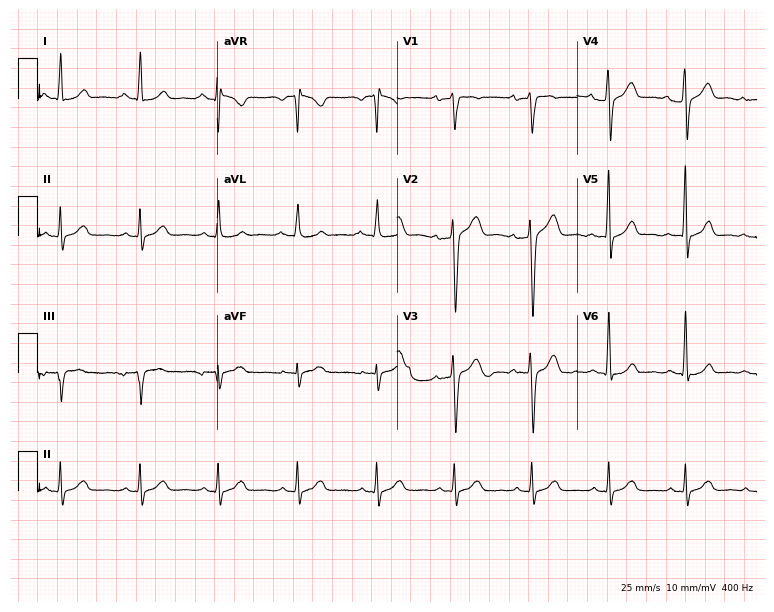
12-lead ECG from a male patient, 47 years old. Labelled as a normal ECG.